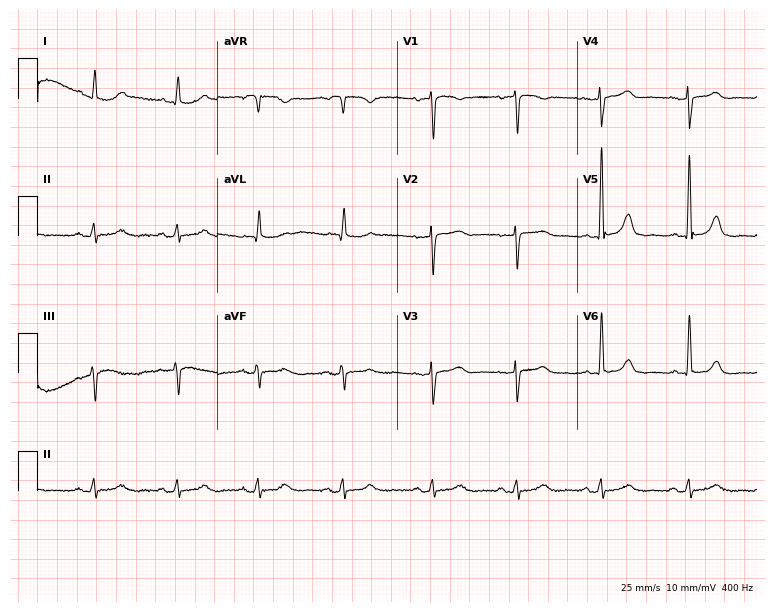
12-lead ECG (7.3-second recording at 400 Hz) from an 82-year-old female patient. Screened for six findings — first-degree AV block, right bundle branch block, left bundle branch block, sinus bradycardia, atrial fibrillation, sinus tachycardia — none is recorded. Other findings, if any, are not listed.